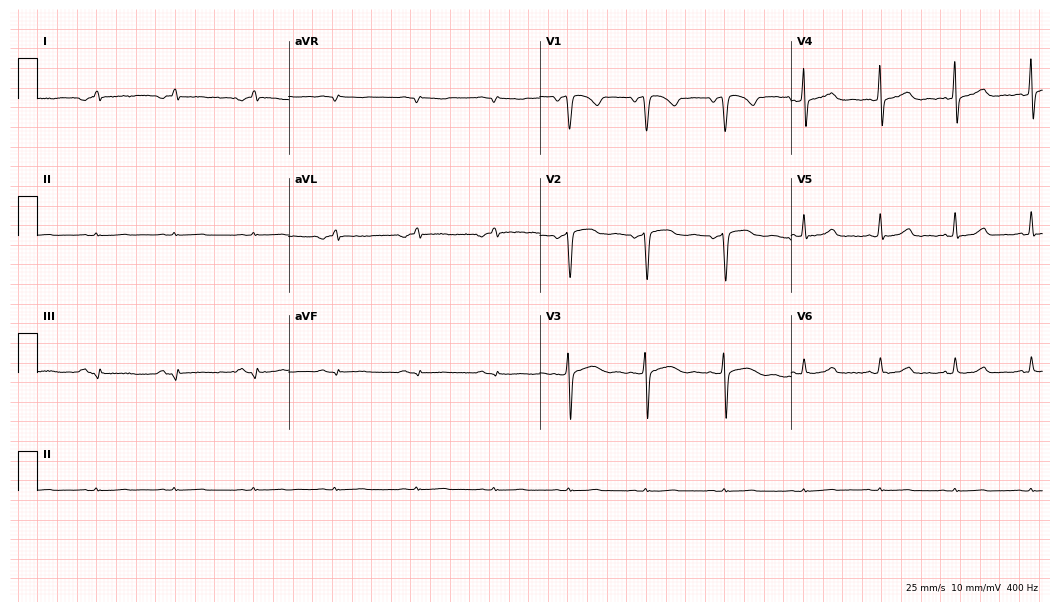
12-lead ECG from a 52-year-old female patient (10.2-second recording at 400 Hz). No first-degree AV block, right bundle branch block, left bundle branch block, sinus bradycardia, atrial fibrillation or sinus tachycardia recorded for this tracing. Other findings, if any, are not listed.